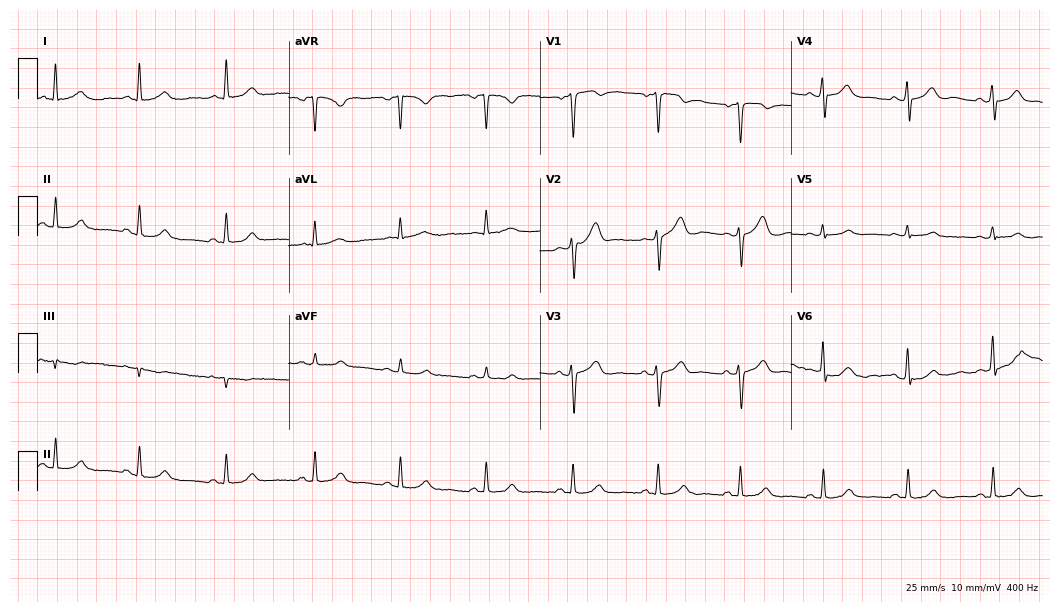
12-lead ECG from a man, 51 years old (10.2-second recording at 400 Hz). Recorded interpretation: within normal limits.